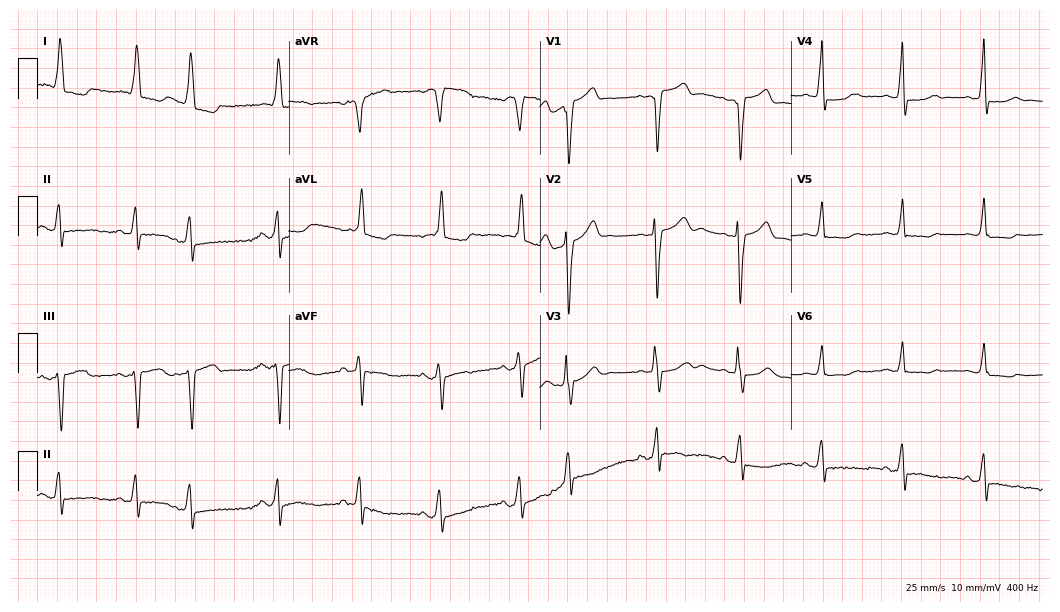
Standard 12-lead ECG recorded from a woman, 71 years old. None of these six findings is recorded: first-degree AV block, right bundle branch block (RBBB), left bundle branch block (LBBB), sinus bradycardia, atrial fibrillation (AF), sinus tachycardia.